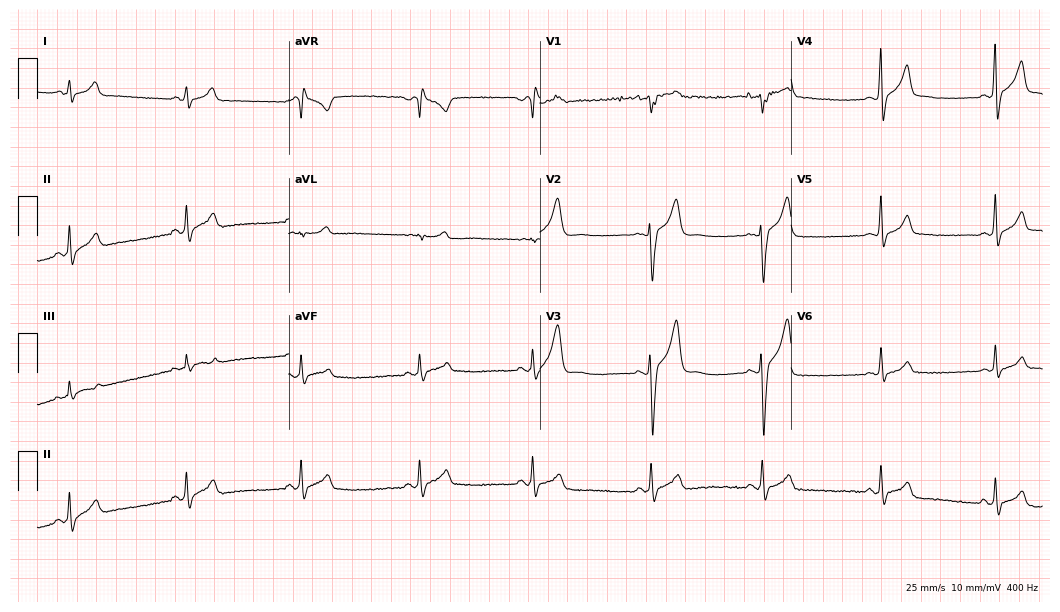
Standard 12-lead ECG recorded from a 19-year-old man (10.2-second recording at 400 Hz). Read as a normal ECG.